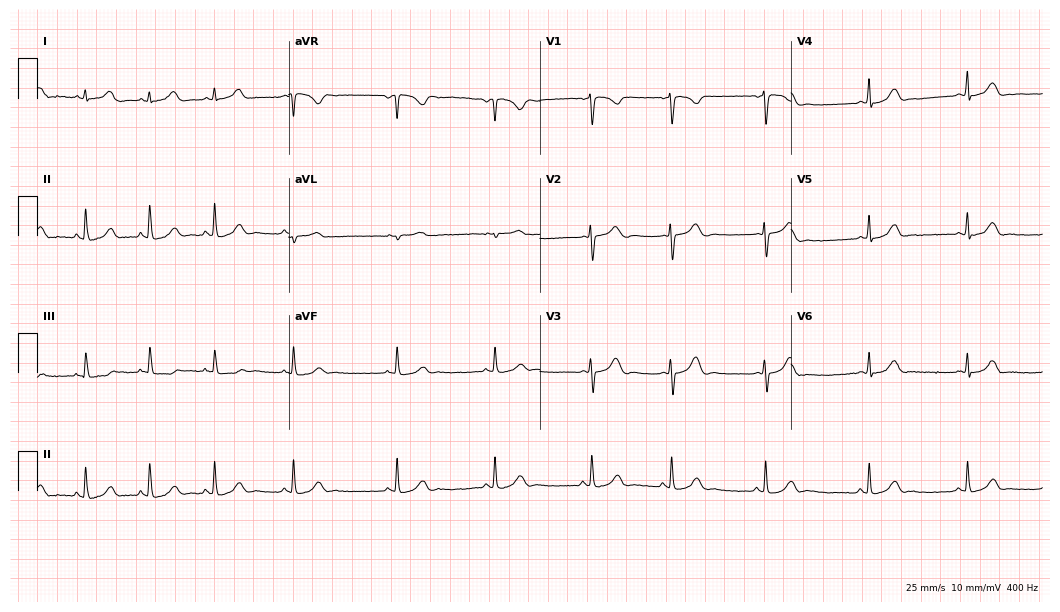
Resting 12-lead electrocardiogram. Patient: a woman, 18 years old. Read as a normal ECG.